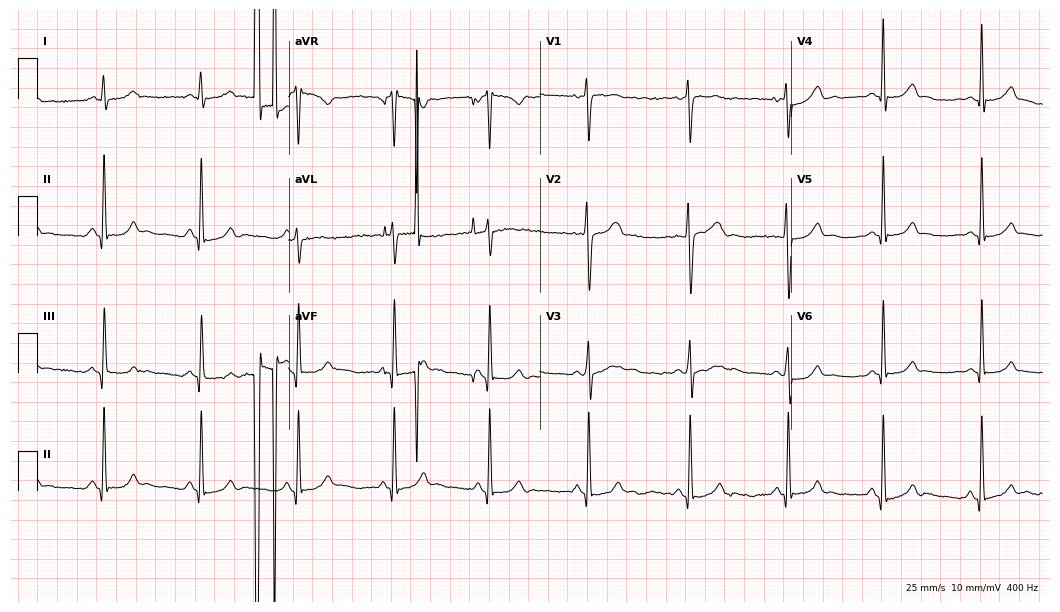
12-lead ECG (10.2-second recording at 400 Hz) from a woman, 35 years old. Screened for six findings — first-degree AV block, right bundle branch block (RBBB), left bundle branch block (LBBB), sinus bradycardia, atrial fibrillation (AF), sinus tachycardia — none is recorded.